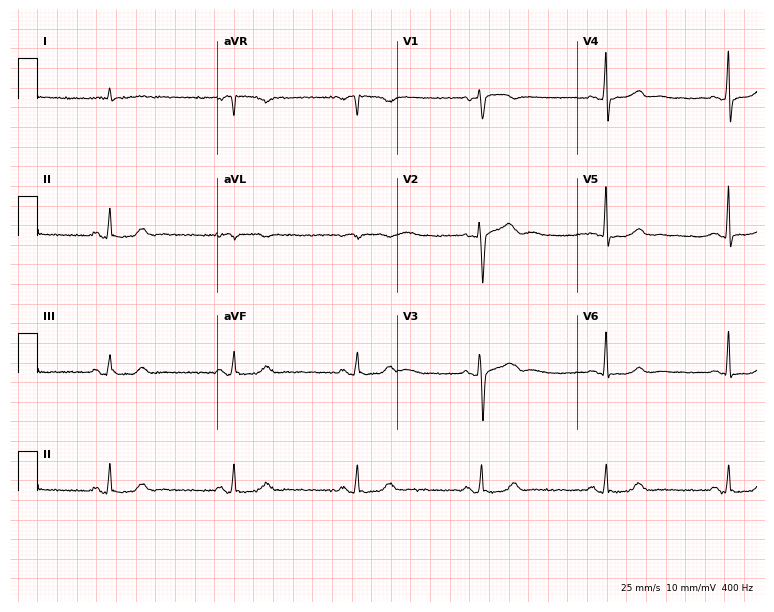
Resting 12-lead electrocardiogram (7.3-second recording at 400 Hz). Patient: a woman, 78 years old. The tracing shows sinus bradycardia (a sinus rate of 50 beats per minute or less).